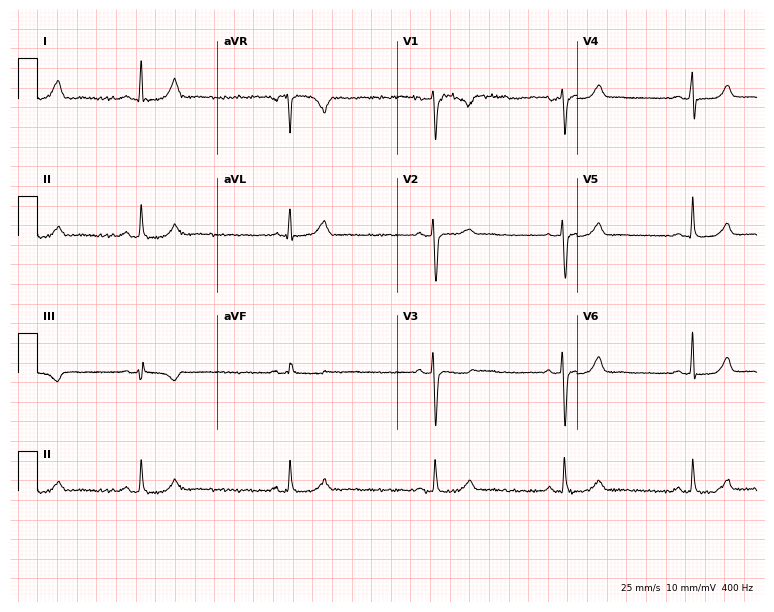
12-lead ECG from a female, 37 years old. Shows sinus bradycardia (a sinus rate of 50 beats per minute or less).